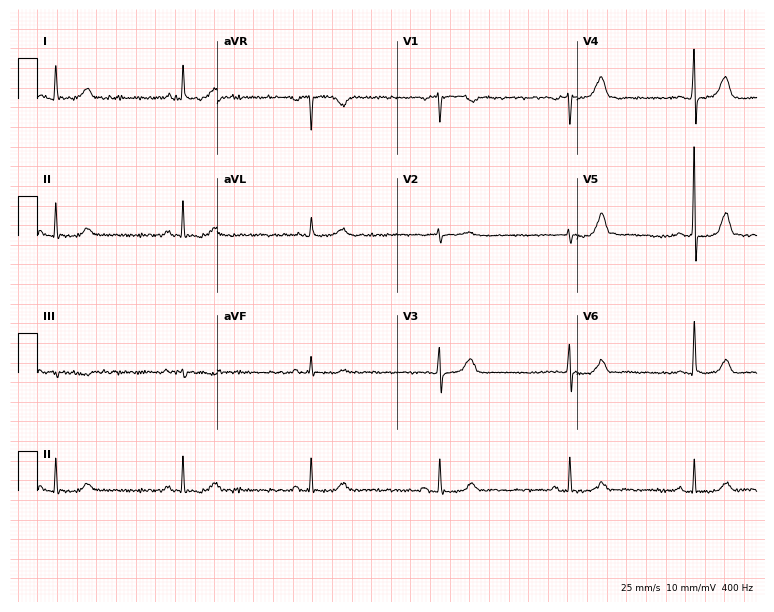
ECG (7.3-second recording at 400 Hz) — a female patient, 53 years old. Labelled as a normal ECG.